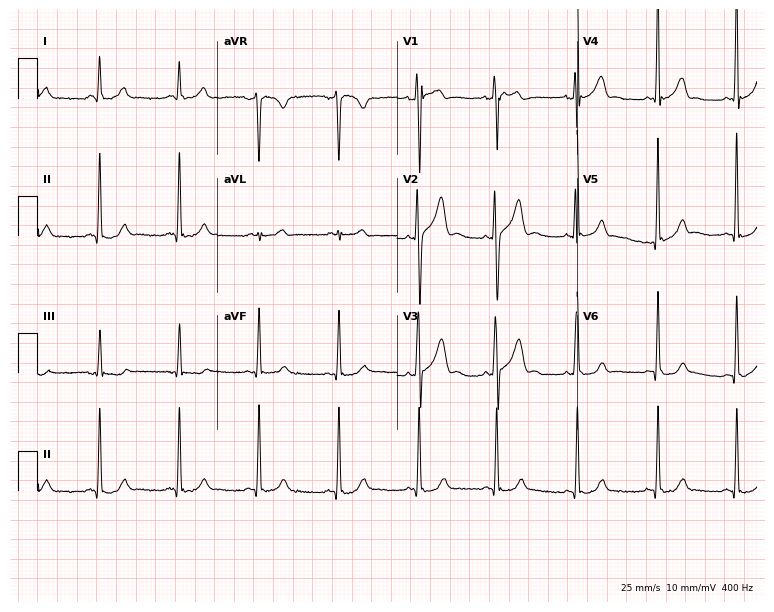
Resting 12-lead electrocardiogram (7.3-second recording at 400 Hz). Patient: a 41-year-old male. None of these six findings is recorded: first-degree AV block, right bundle branch block, left bundle branch block, sinus bradycardia, atrial fibrillation, sinus tachycardia. Findings outside these six are not listed.